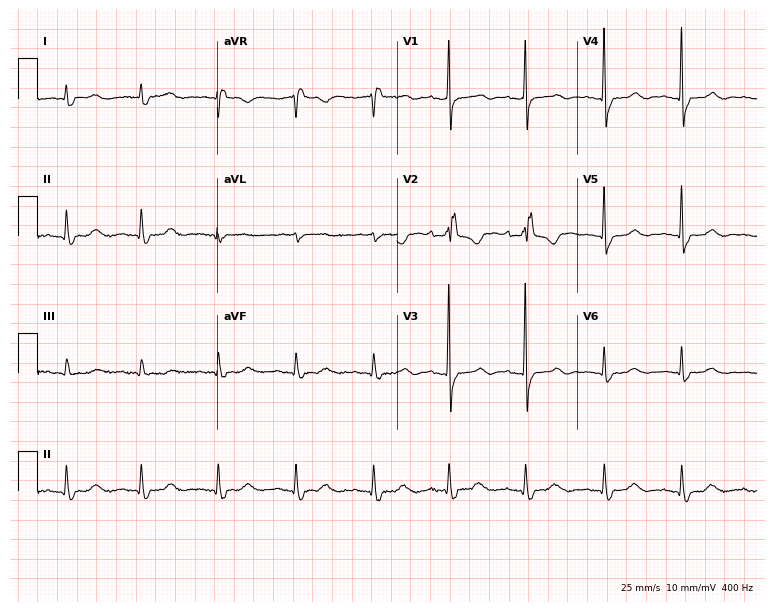
ECG — a female patient, 83 years old. Findings include right bundle branch block.